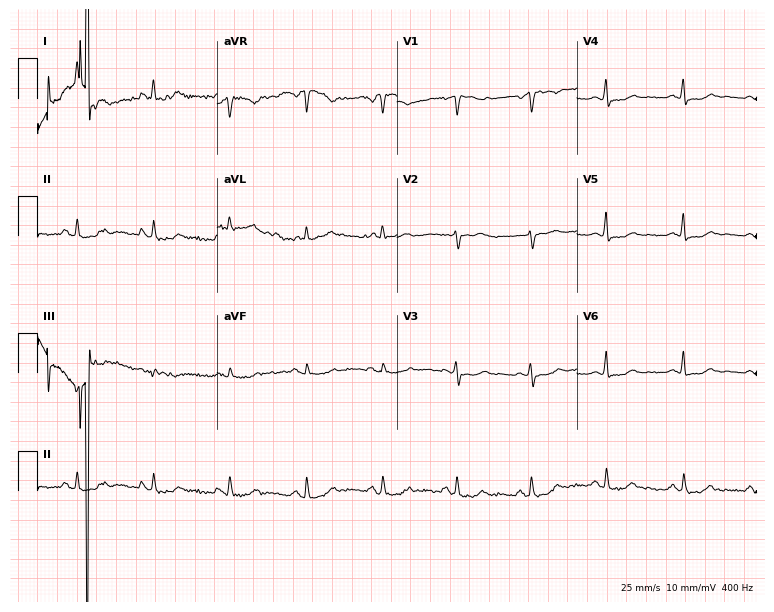
12-lead ECG (7.3-second recording at 400 Hz) from a 47-year-old woman. Screened for six findings — first-degree AV block, right bundle branch block, left bundle branch block, sinus bradycardia, atrial fibrillation, sinus tachycardia — none is recorded. Other findings, if any, are not listed.